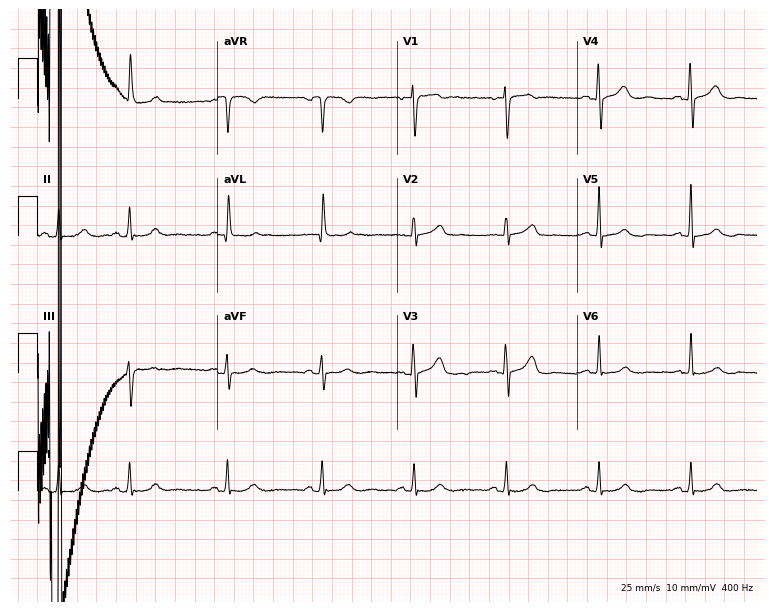
Resting 12-lead electrocardiogram. Patient: a 76-year-old female. None of these six findings is recorded: first-degree AV block, right bundle branch block, left bundle branch block, sinus bradycardia, atrial fibrillation, sinus tachycardia. Findings outside these six are not listed.